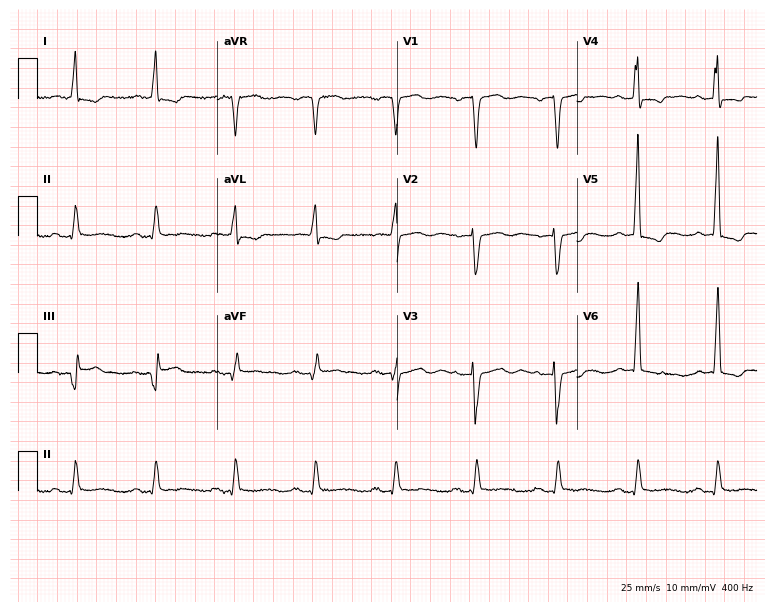
Resting 12-lead electrocardiogram. Patient: a woman, 78 years old. None of these six findings is recorded: first-degree AV block, right bundle branch block (RBBB), left bundle branch block (LBBB), sinus bradycardia, atrial fibrillation (AF), sinus tachycardia. Findings outside these six are not listed.